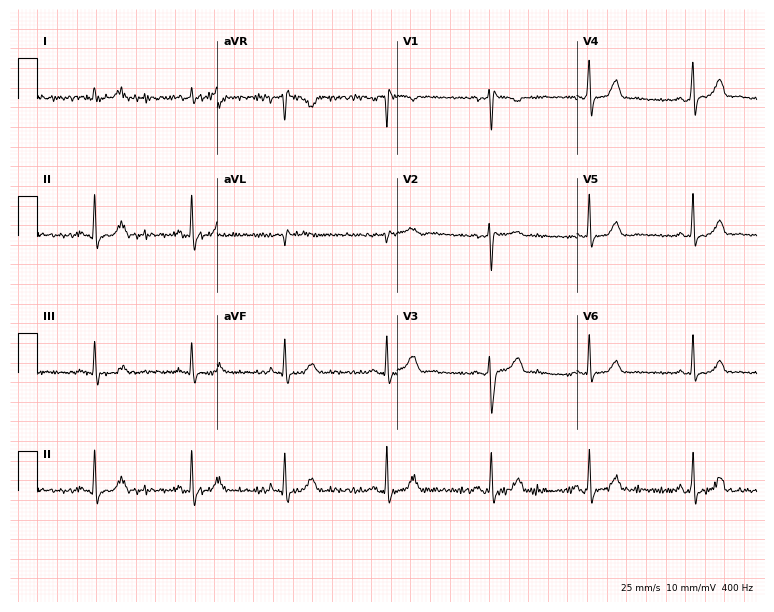
ECG — a female patient, 37 years old. Labelled as a normal ECG.